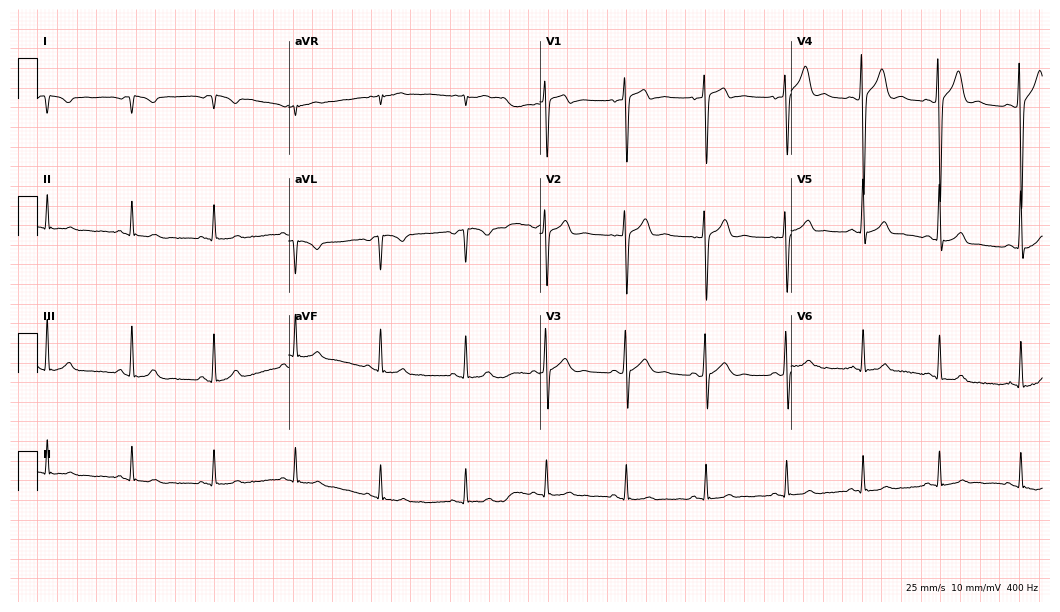
12-lead ECG from a 17-year-old male (10.2-second recording at 400 Hz). Recorded interpretation: within normal limits.